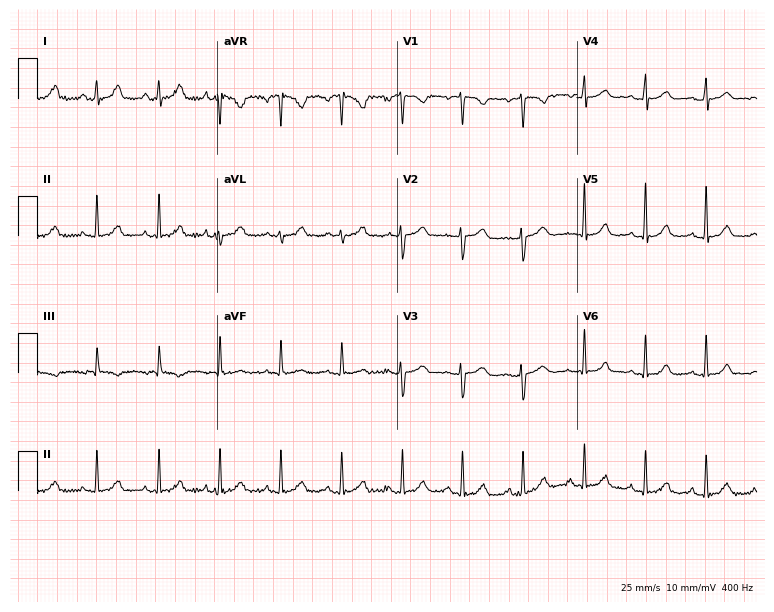
ECG (7.3-second recording at 400 Hz) — a 28-year-old female patient. Labelled as a normal ECG.